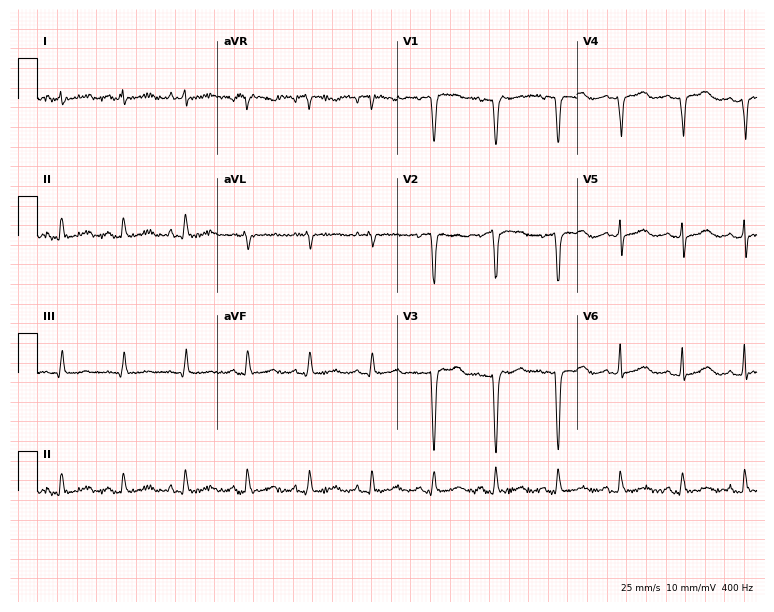
ECG (7.3-second recording at 400 Hz) — a 48-year-old female. Screened for six findings — first-degree AV block, right bundle branch block, left bundle branch block, sinus bradycardia, atrial fibrillation, sinus tachycardia — none is recorded.